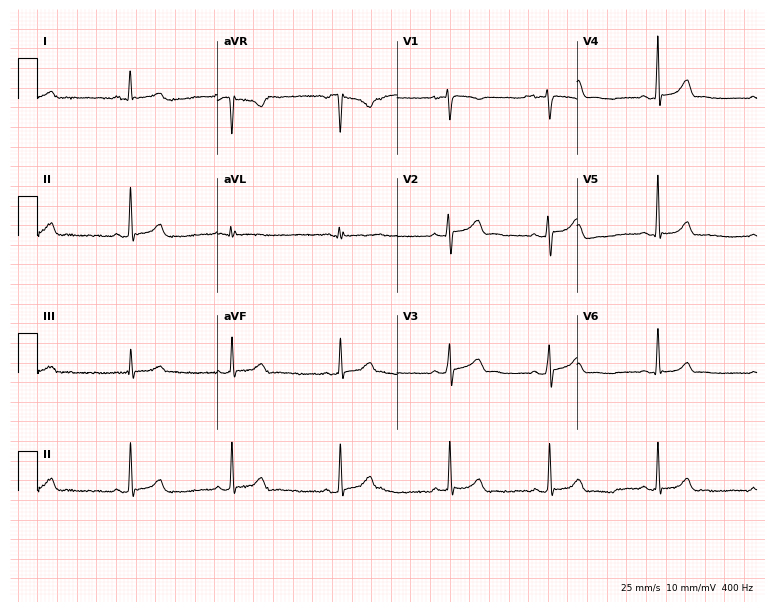
ECG (7.3-second recording at 400 Hz) — a woman, 28 years old. Labelled as a normal ECG.